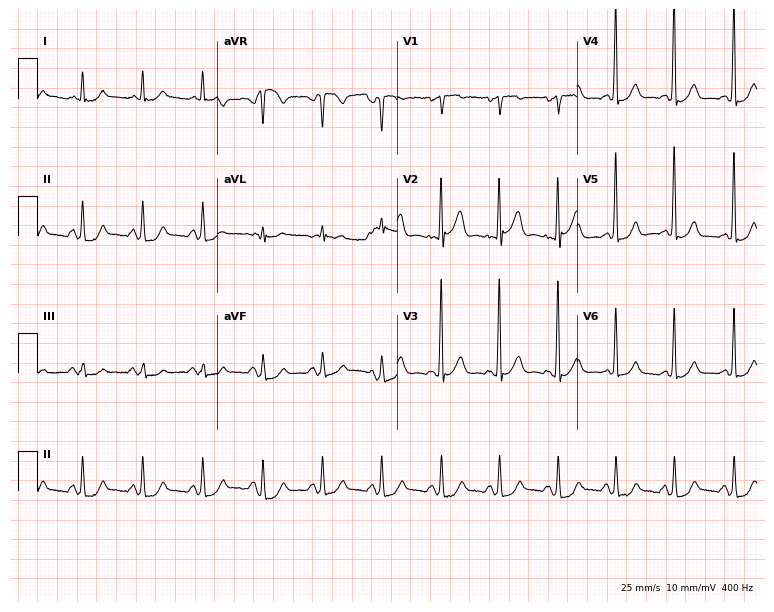
12-lead ECG from a male patient, 69 years old (7.3-second recording at 400 Hz). Recorded interpretation: within normal limits.